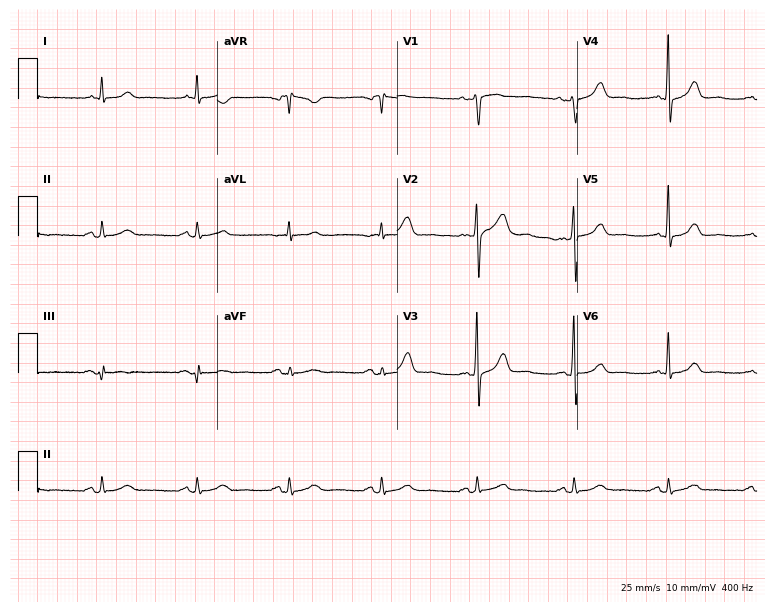
Resting 12-lead electrocardiogram. Patient: a 53-year-old man. Read as a normal ECG.